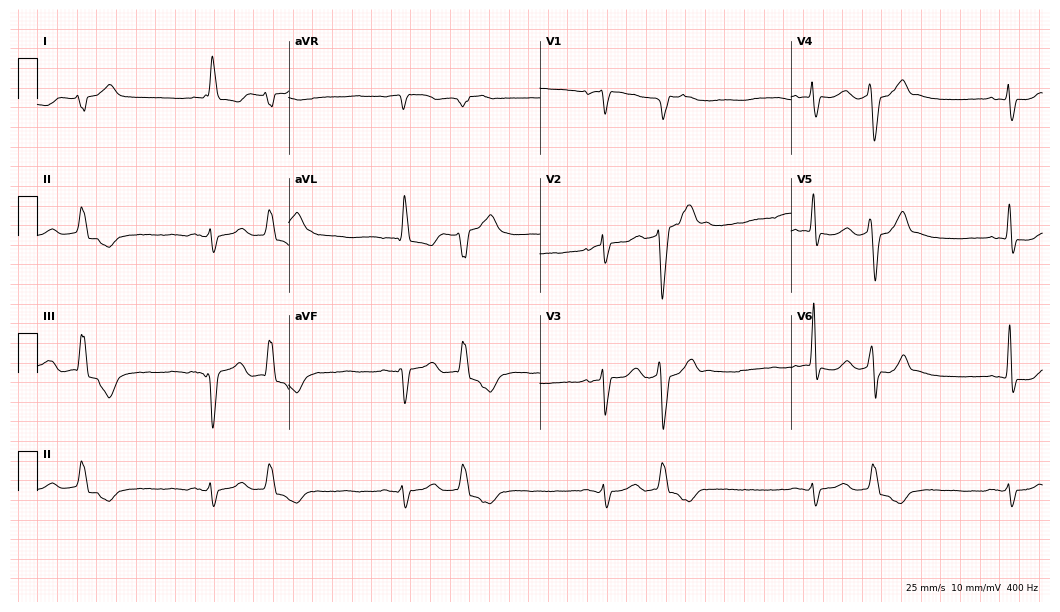
12-lead ECG from an 84-year-old female patient. Findings include left bundle branch block.